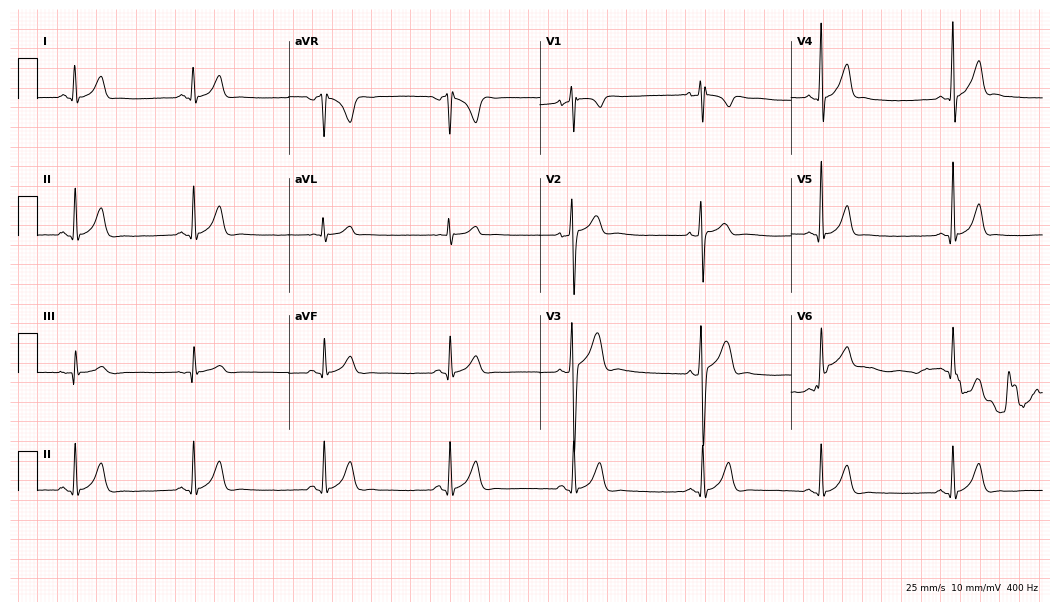
Resting 12-lead electrocardiogram (10.2-second recording at 400 Hz). Patient: a 17-year-old male. The tracing shows sinus bradycardia (a sinus rate of 50 beats per minute or less).